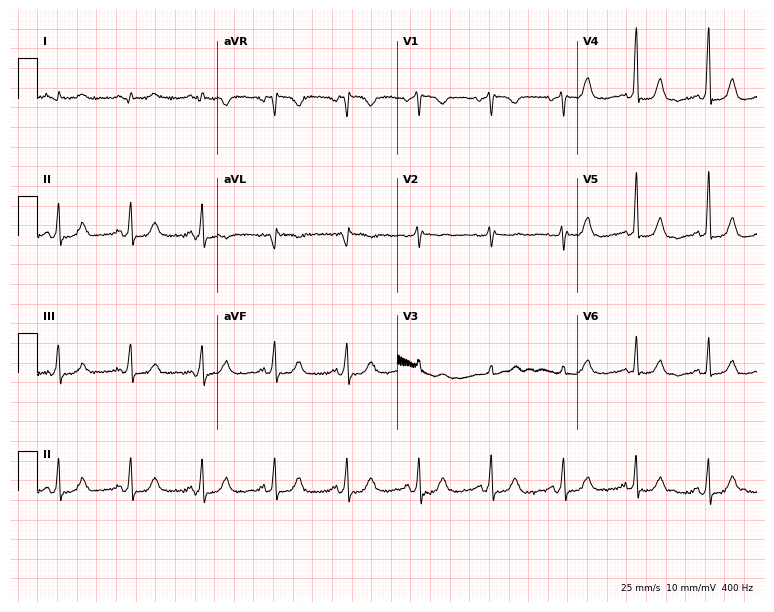
Standard 12-lead ECG recorded from a 63-year-old female. Read as a normal ECG.